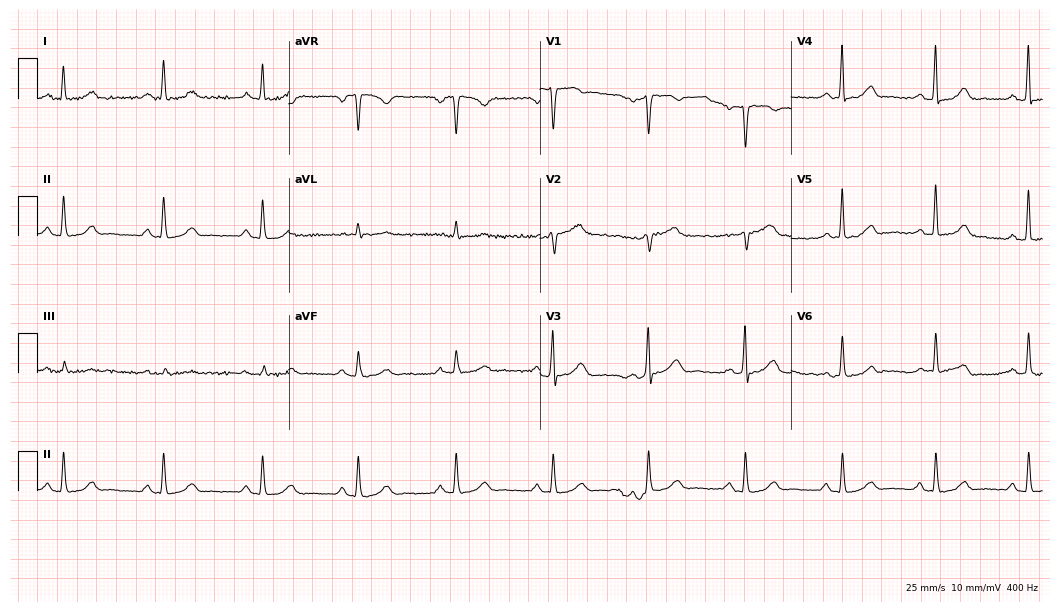
Electrocardiogram (10.2-second recording at 400 Hz), a 52-year-old female. Overall reading on record: normal ECG.